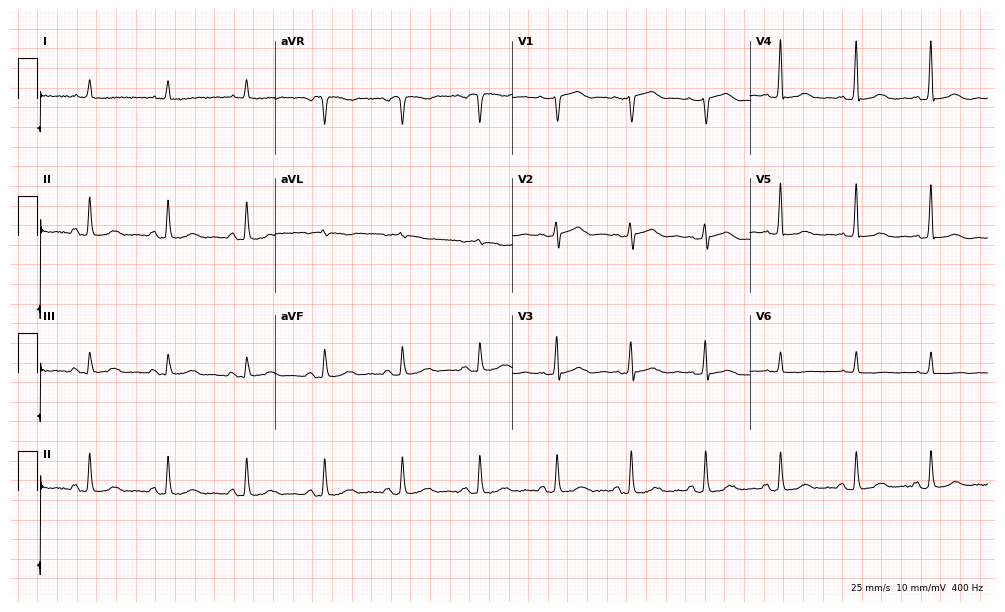
12-lead ECG from a female patient, 78 years old (9.7-second recording at 400 Hz). No first-degree AV block, right bundle branch block, left bundle branch block, sinus bradycardia, atrial fibrillation or sinus tachycardia recorded for this tracing. Only these six findings were labelled.